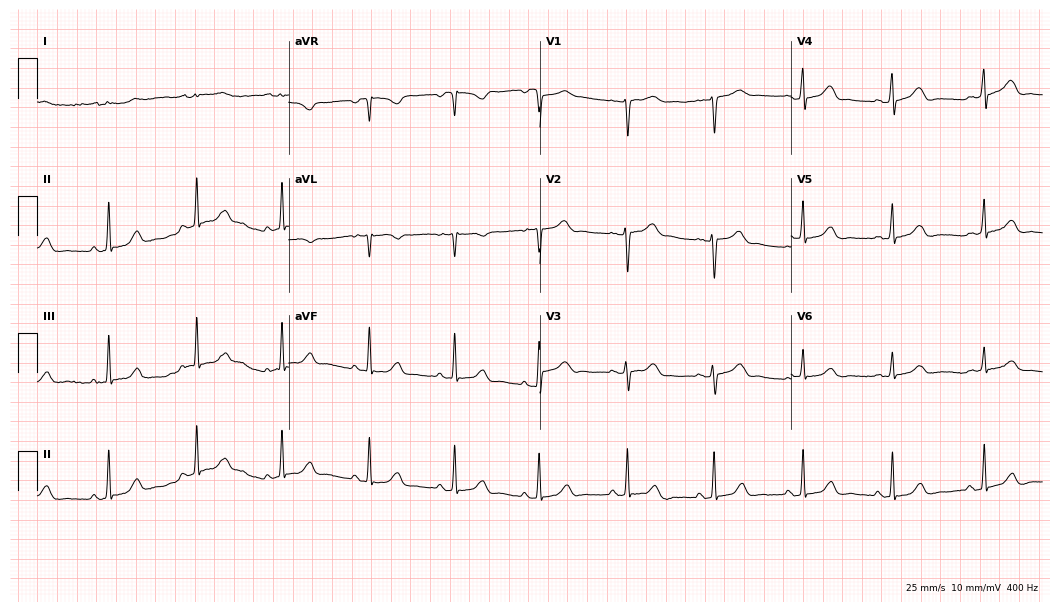
Resting 12-lead electrocardiogram (10.2-second recording at 400 Hz). Patient: a female, 52 years old. Read as a normal ECG.